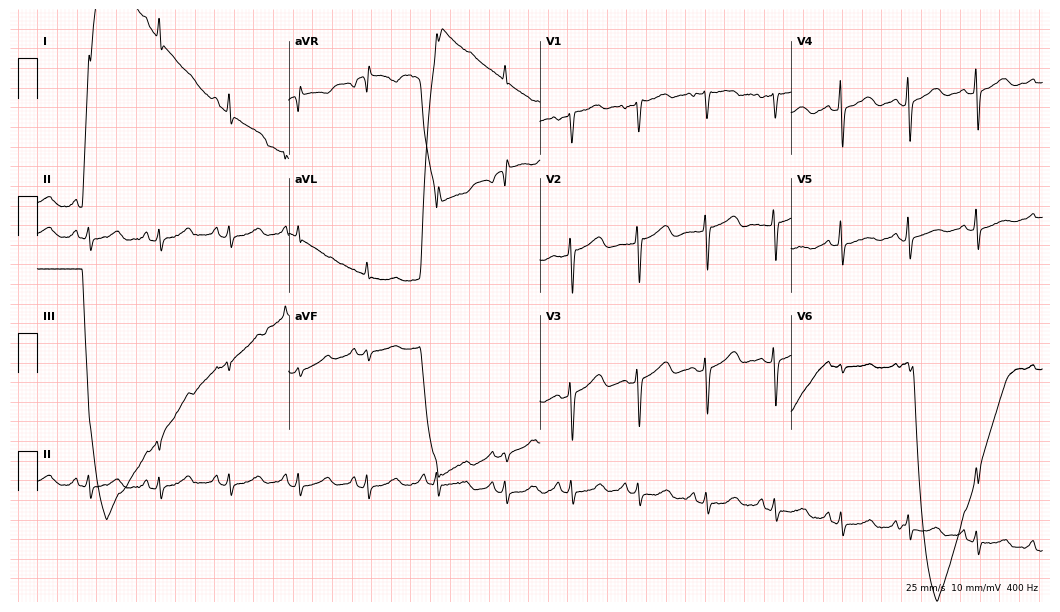
Electrocardiogram, a female patient, 40 years old. Overall reading on record: normal ECG.